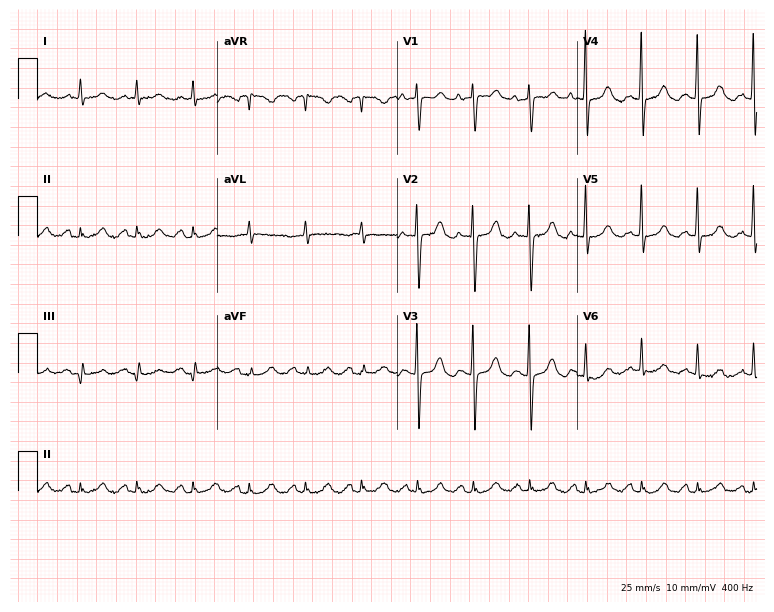
Electrocardiogram (7.3-second recording at 400 Hz), a female, 77 years old. Interpretation includes sinus tachycardia (a sinus rate of 100 beats per minute or more).